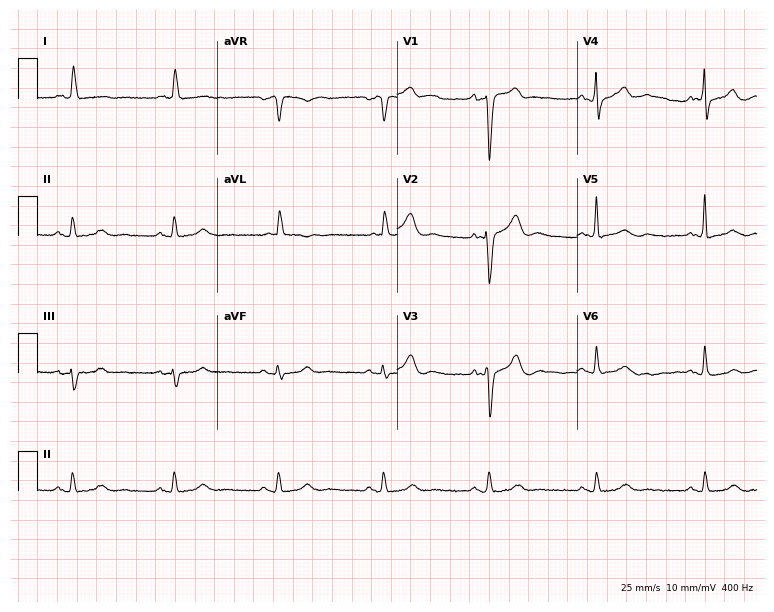
Standard 12-lead ECG recorded from an 80-year-old man. None of these six findings is recorded: first-degree AV block, right bundle branch block (RBBB), left bundle branch block (LBBB), sinus bradycardia, atrial fibrillation (AF), sinus tachycardia. Other findings, if any, are not listed.